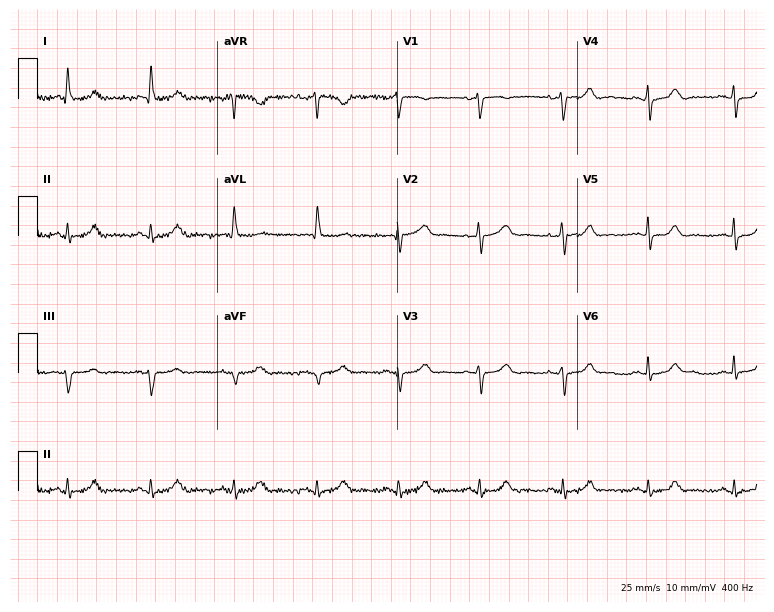
Standard 12-lead ECG recorded from a 75-year-old female patient. Read as a normal ECG.